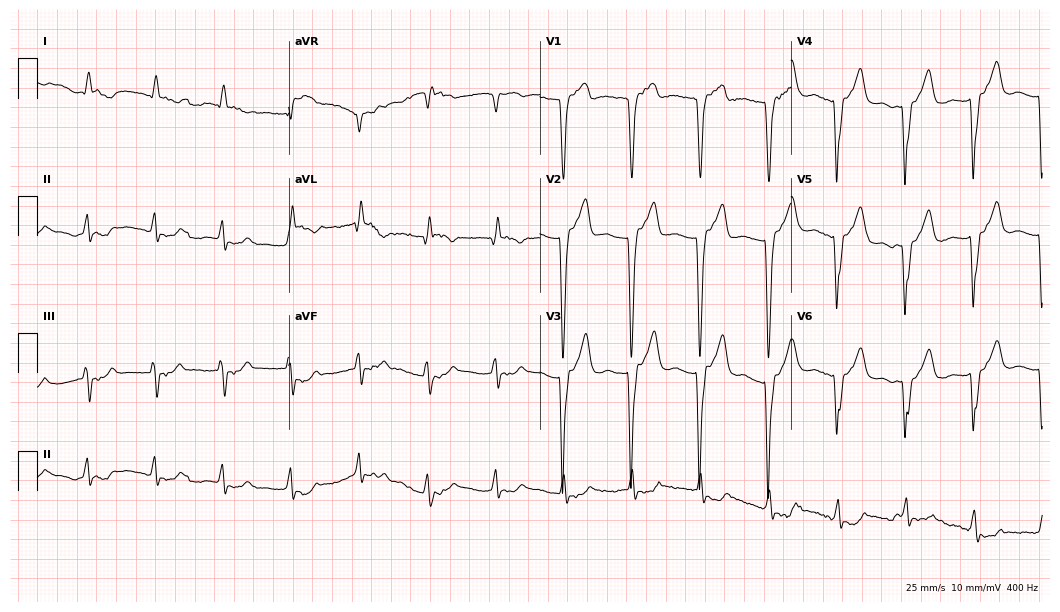
Resting 12-lead electrocardiogram. Patient: a male, 76 years old. None of these six findings is recorded: first-degree AV block, right bundle branch block, left bundle branch block, sinus bradycardia, atrial fibrillation, sinus tachycardia. Findings outside these six are not listed.